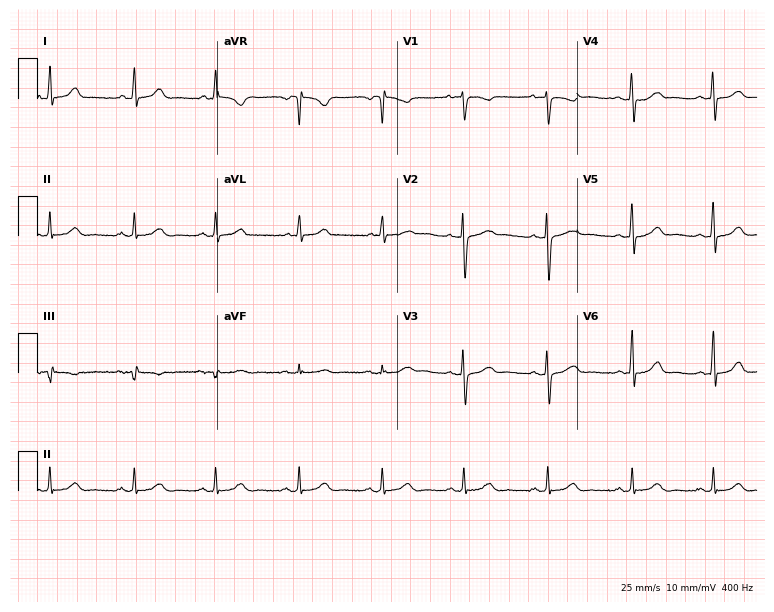
Standard 12-lead ECG recorded from a 37-year-old female patient (7.3-second recording at 400 Hz). Read as a normal ECG.